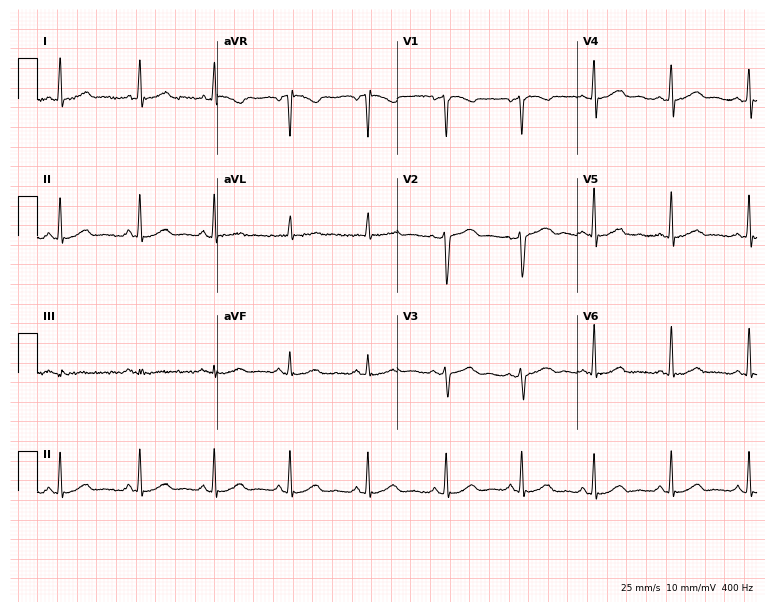
ECG (7.3-second recording at 400 Hz) — a 30-year-old female patient. Screened for six findings — first-degree AV block, right bundle branch block, left bundle branch block, sinus bradycardia, atrial fibrillation, sinus tachycardia — none is recorded. Findings outside these six are not listed.